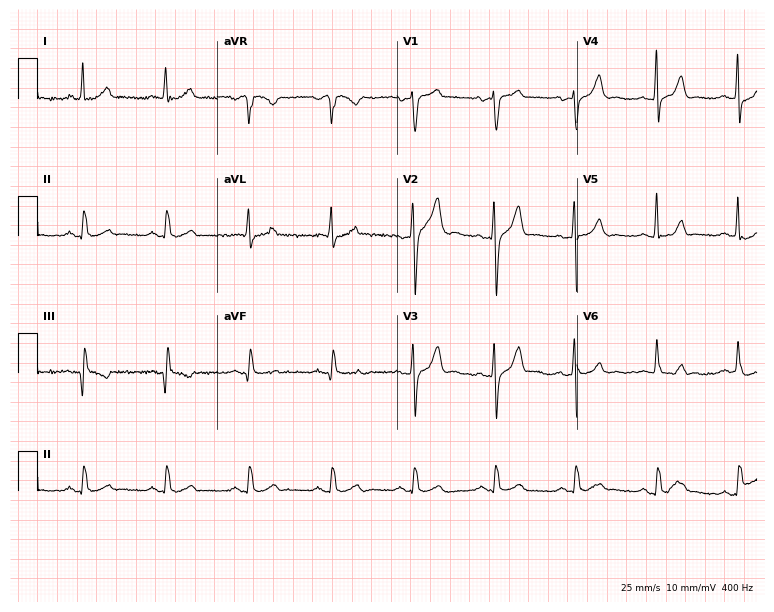
Electrocardiogram, a male patient, 61 years old. Overall reading on record: normal ECG.